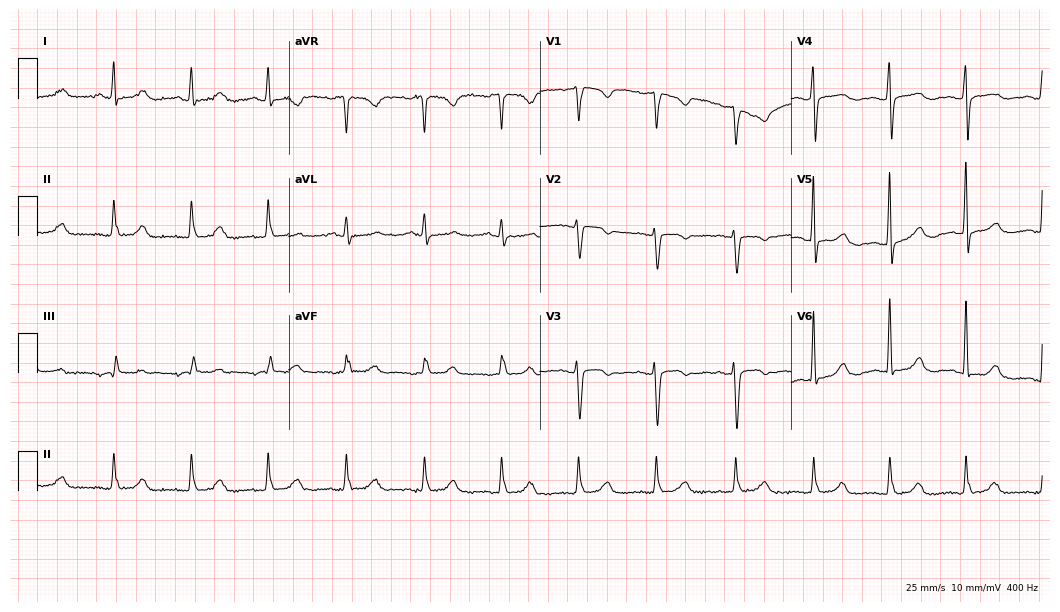
ECG (10.2-second recording at 400 Hz) — a female, 51 years old. Labelled as a normal ECG.